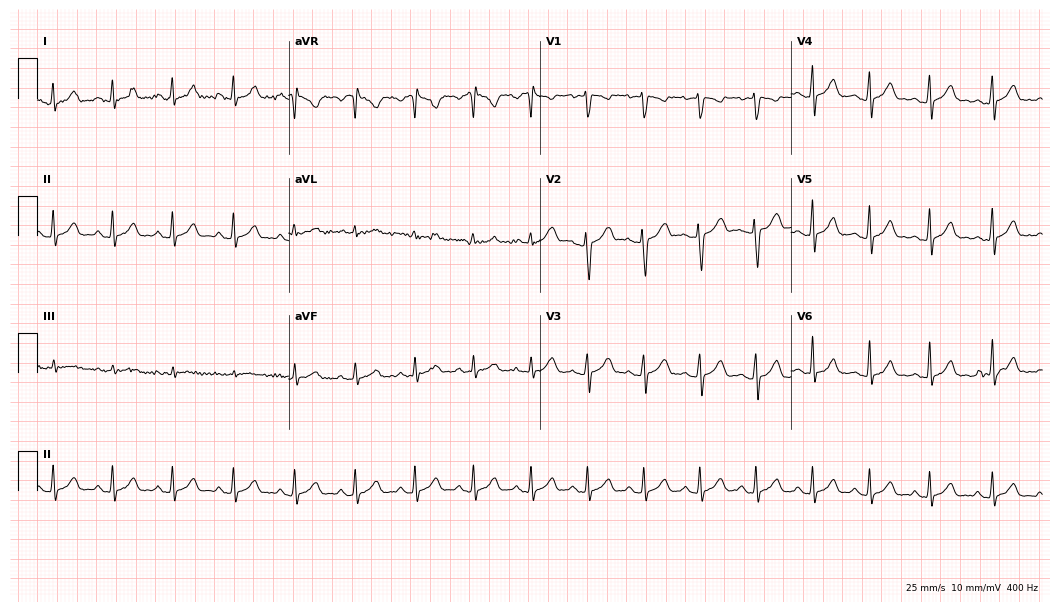
Electrocardiogram (10.2-second recording at 400 Hz), a 21-year-old female. Overall reading on record: normal ECG.